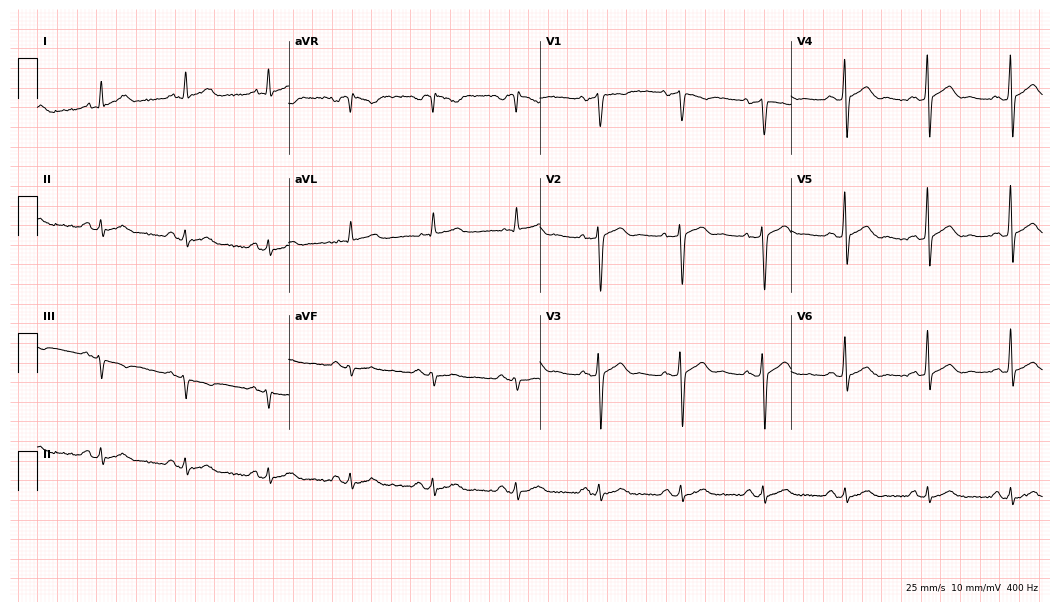
Standard 12-lead ECG recorded from a 43-year-old male patient. Read as a normal ECG.